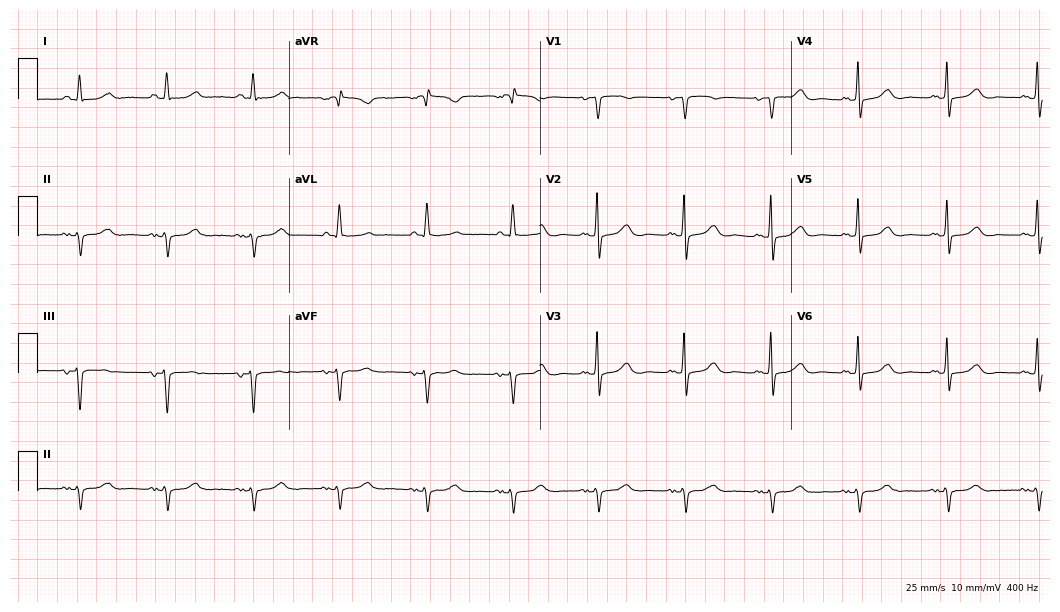
Standard 12-lead ECG recorded from a female, 73 years old (10.2-second recording at 400 Hz). None of these six findings is recorded: first-degree AV block, right bundle branch block (RBBB), left bundle branch block (LBBB), sinus bradycardia, atrial fibrillation (AF), sinus tachycardia.